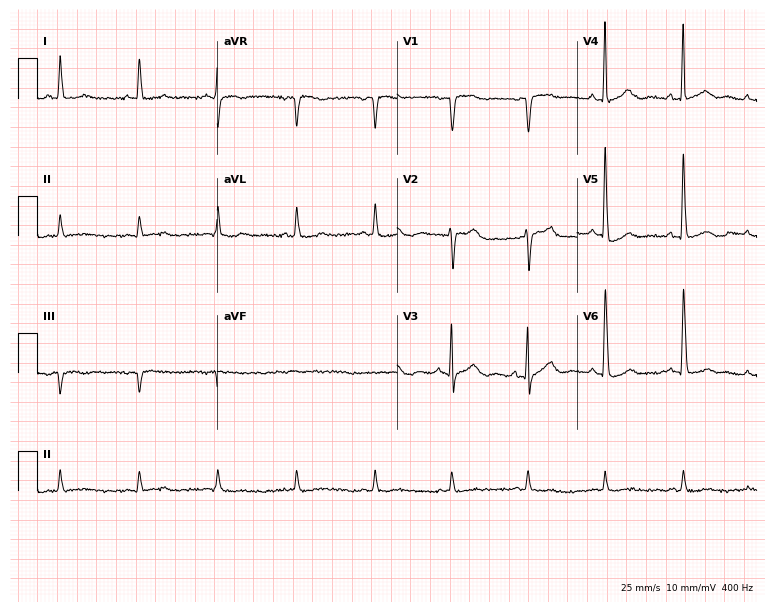
Electrocardiogram, a 75-year-old male. Of the six screened findings (first-degree AV block, right bundle branch block, left bundle branch block, sinus bradycardia, atrial fibrillation, sinus tachycardia), none is recorded.